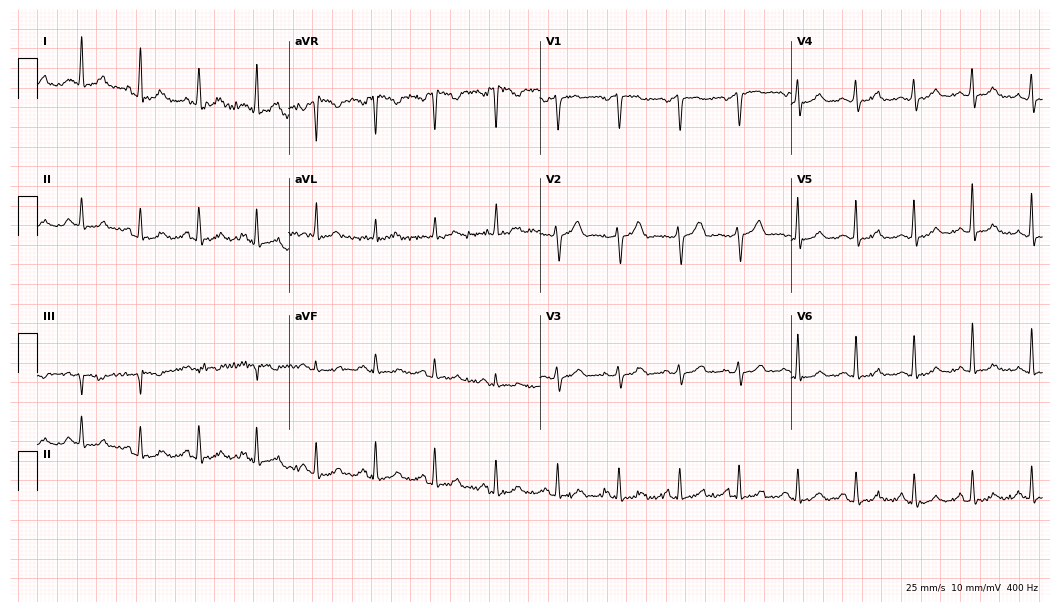
ECG — a female, 37 years old. Labelled as a normal ECG.